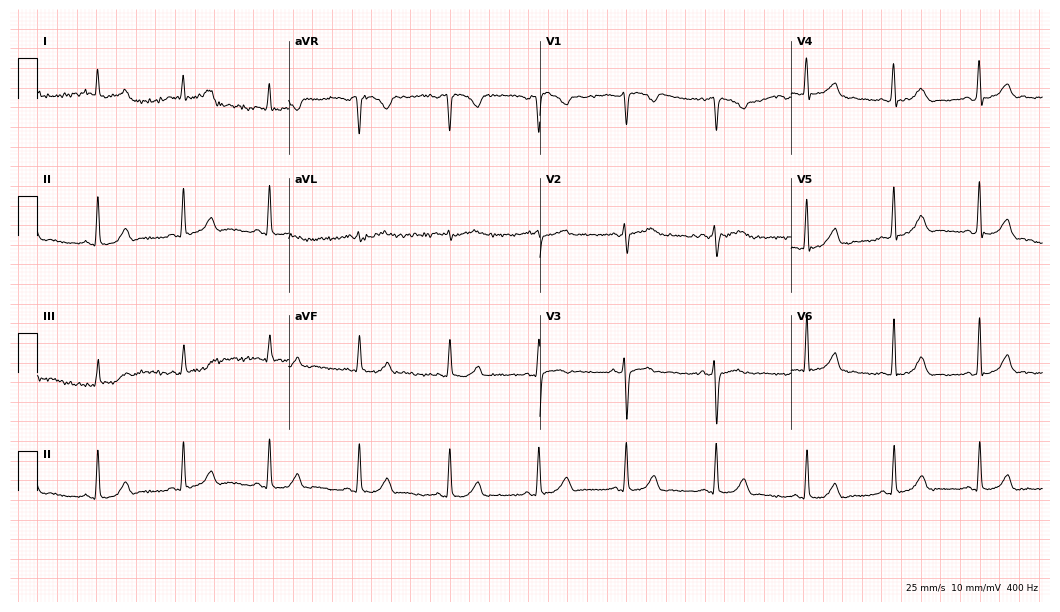
12-lead ECG (10.2-second recording at 400 Hz) from a female patient, 40 years old. Labelled as a normal ECG.